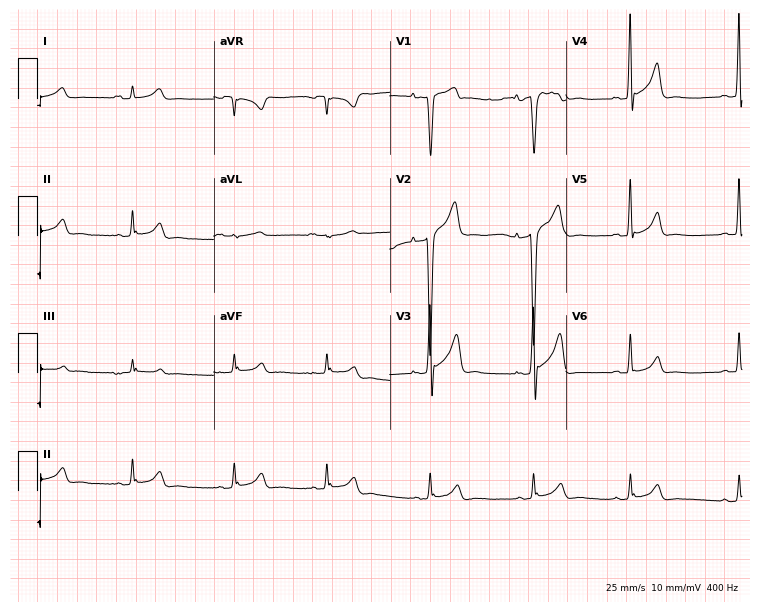
12-lead ECG (7.2-second recording at 400 Hz) from a man, 30 years old. Screened for six findings — first-degree AV block, right bundle branch block, left bundle branch block, sinus bradycardia, atrial fibrillation, sinus tachycardia — none is recorded.